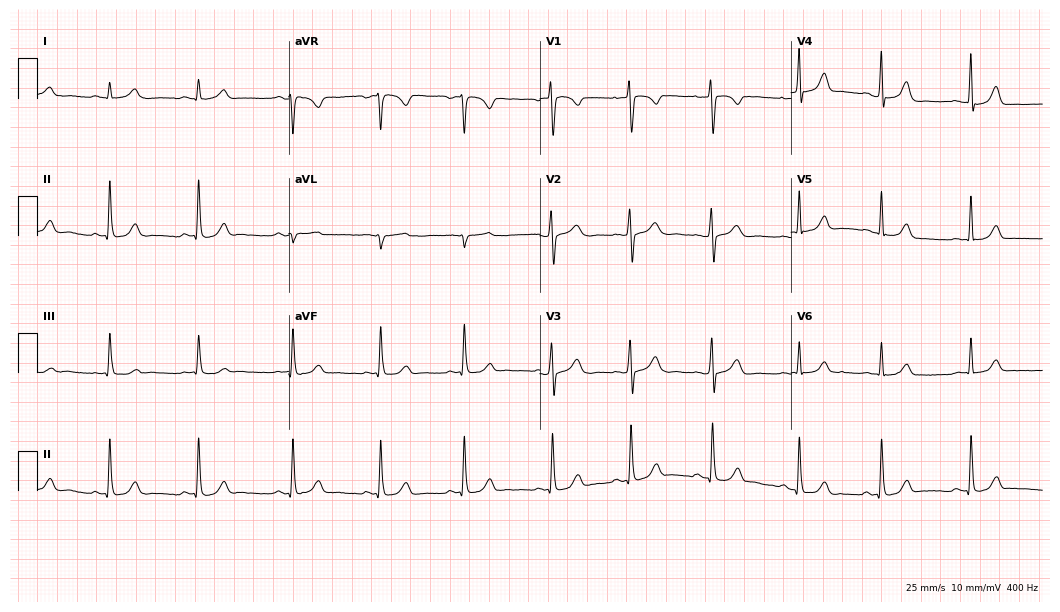
Electrocardiogram (10.2-second recording at 400 Hz), a 20-year-old female. Of the six screened findings (first-degree AV block, right bundle branch block (RBBB), left bundle branch block (LBBB), sinus bradycardia, atrial fibrillation (AF), sinus tachycardia), none is recorded.